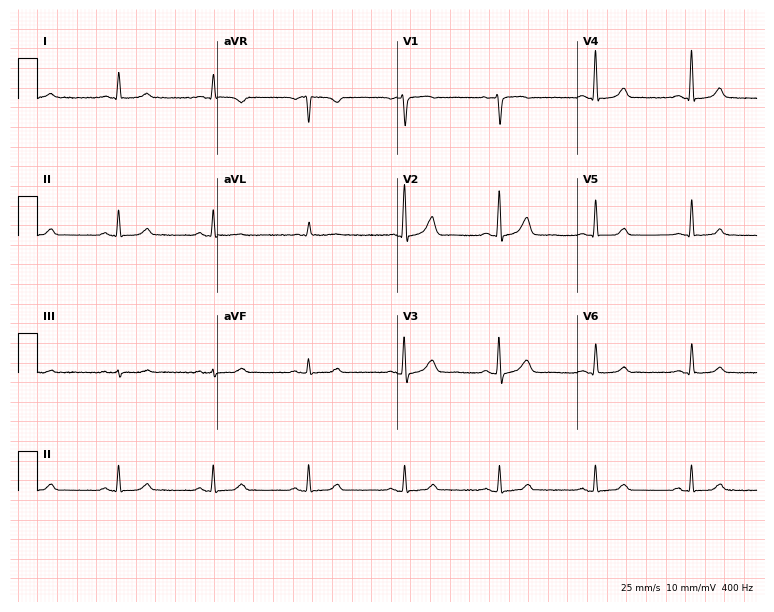
12-lead ECG (7.3-second recording at 400 Hz) from a female, 73 years old. Labelled as a normal ECG.